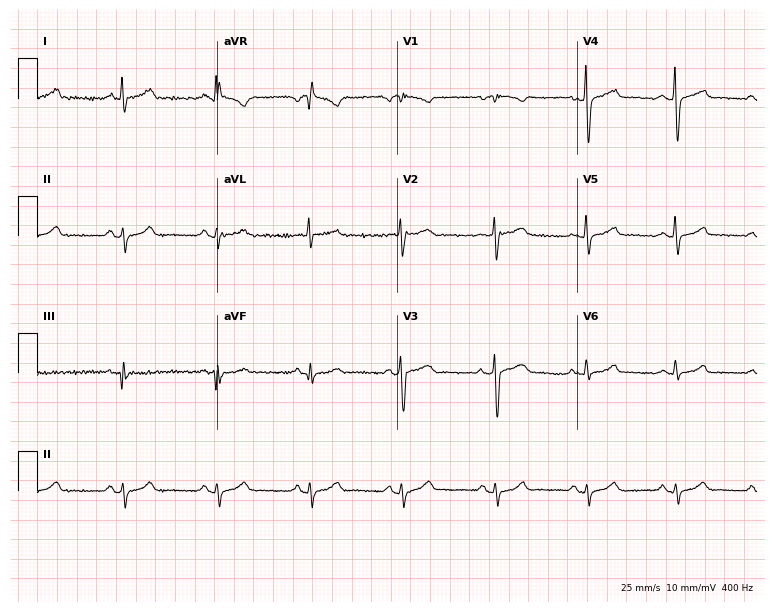
ECG (7.3-second recording at 400 Hz) — a 61-year-old female patient. Labelled as a normal ECG.